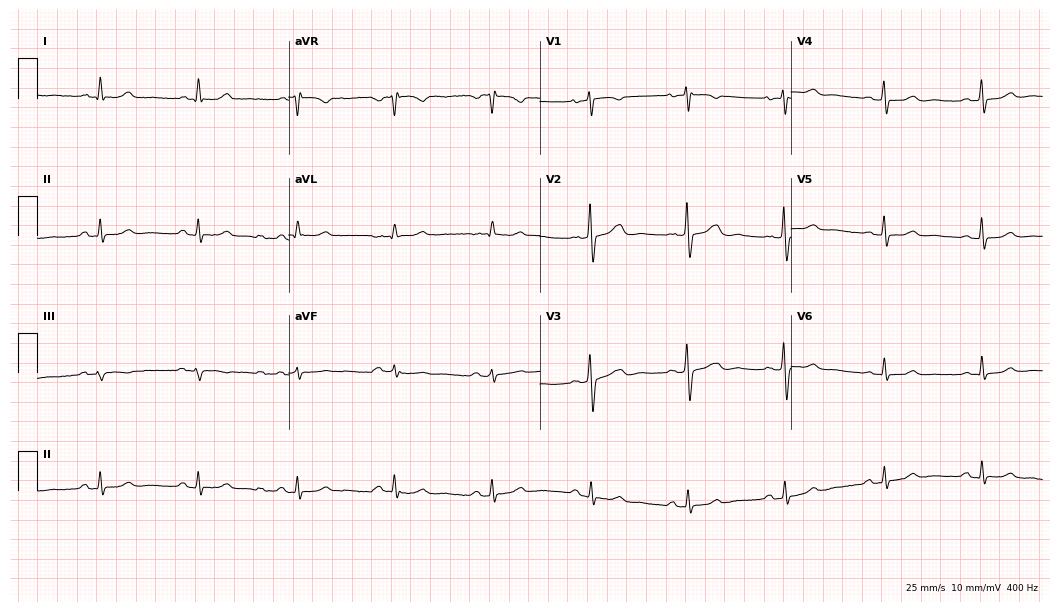
12-lead ECG from a woman, 82 years old. Screened for six findings — first-degree AV block, right bundle branch block, left bundle branch block, sinus bradycardia, atrial fibrillation, sinus tachycardia — none is recorded.